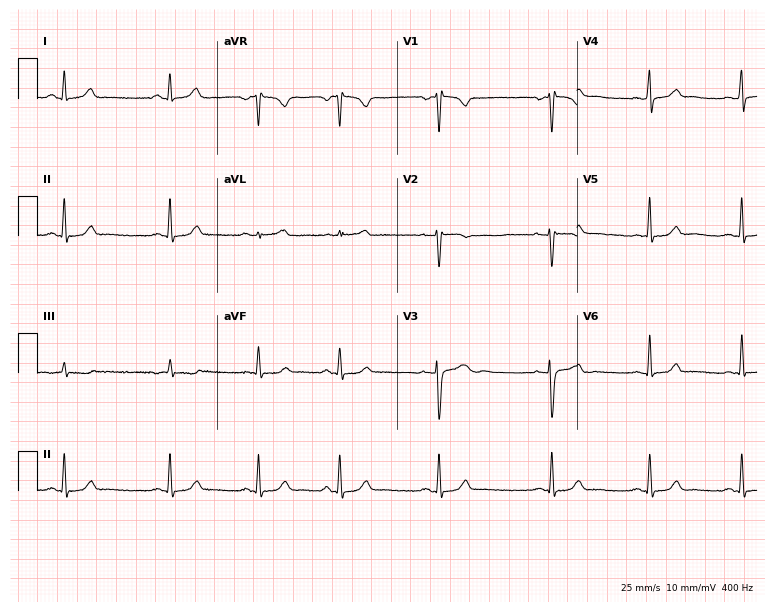
12-lead ECG (7.3-second recording at 400 Hz) from a 29-year-old female patient. Labelled as a normal ECG.